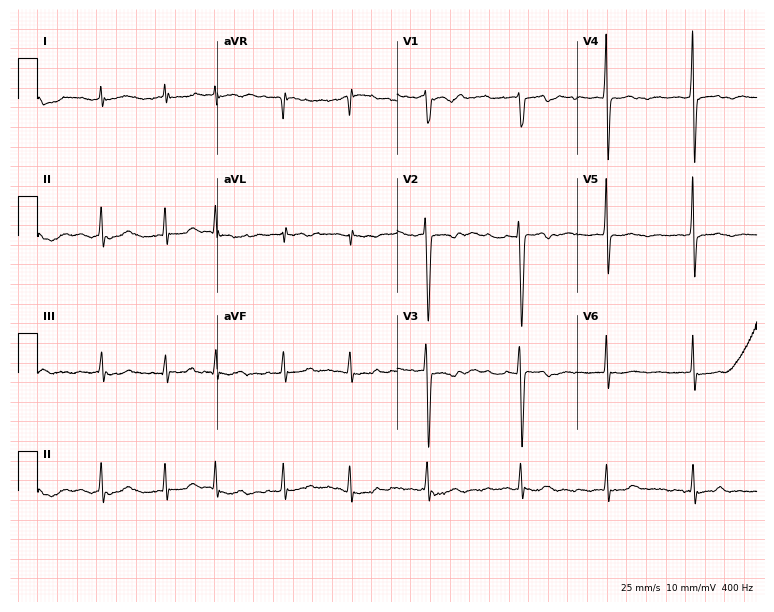
12-lead ECG from a 49-year-old woman. Findings include atrial fibrillation (AF).